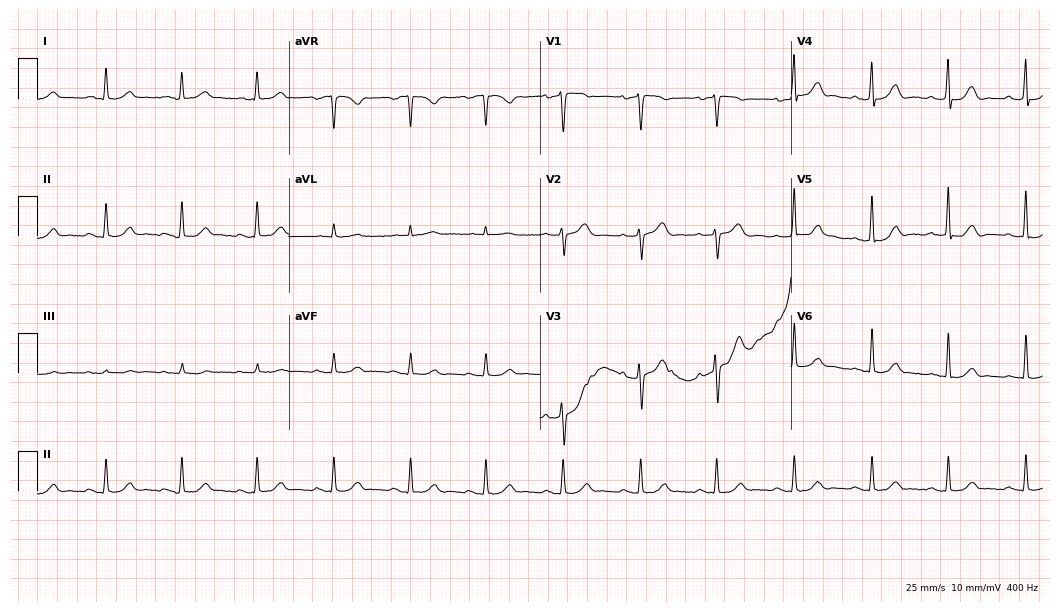
12-lead ECG from a 74-year-old male. Recorded interpretation: within normal limits.